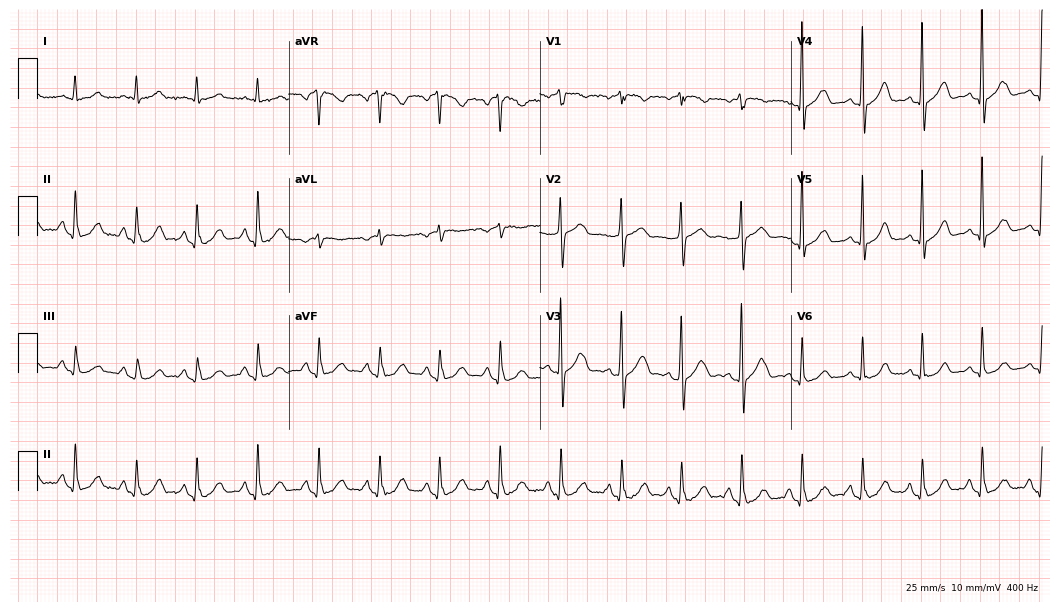
Standard 12-lead ECG recorded from an 85-year-old female. Read as a normal ECG.